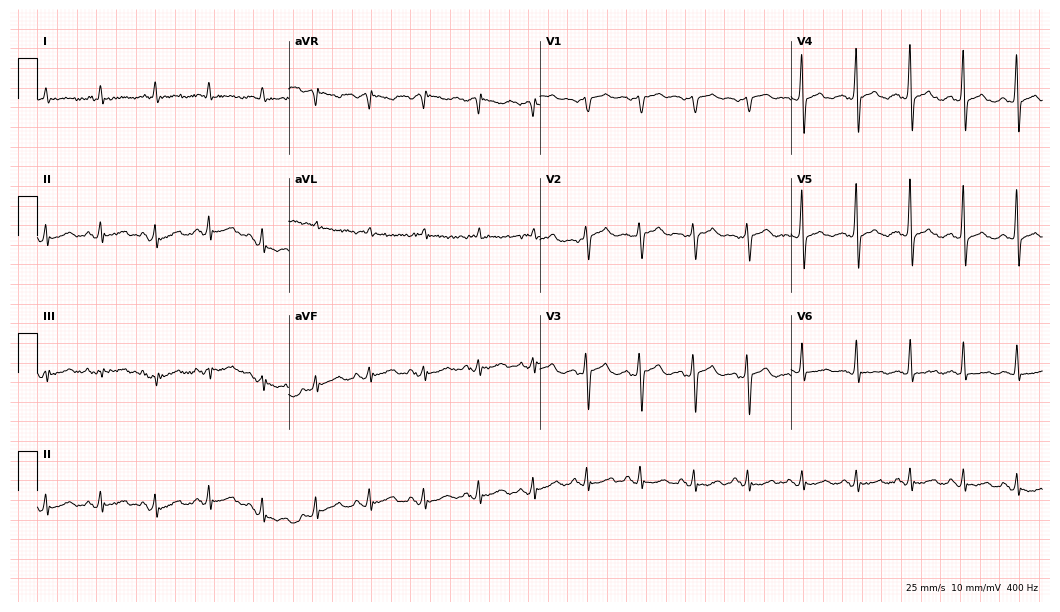
12-lead ECG from a female, 72 years old. Shows sinus tachycardia (a sinus rate of 100 beats per minute or more).